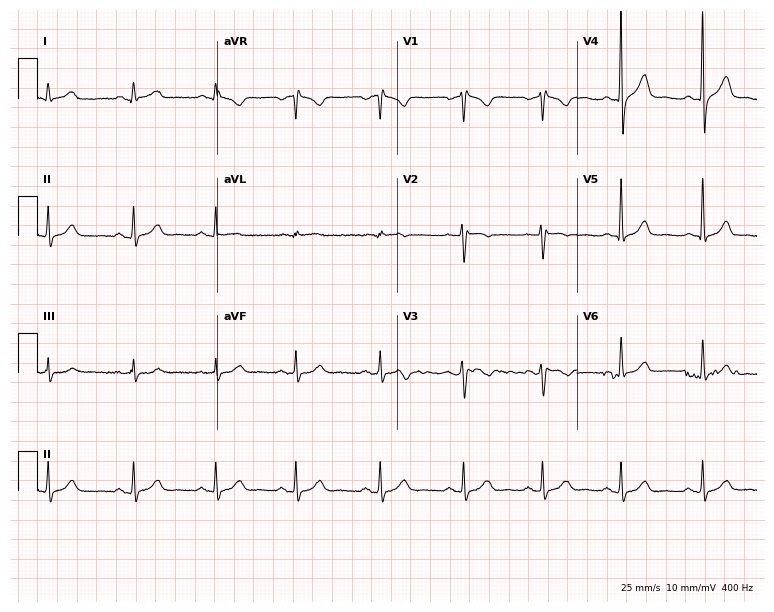
12-lead ECG (7.3-second recording at 400 Hz) from a male, 39 years old. Screened for six findings — first-degree AV block, right bundle branch block, left bundle branch block, sinus bradycardia, atrial fibrillation, sinus tachycardia — none is recorded.